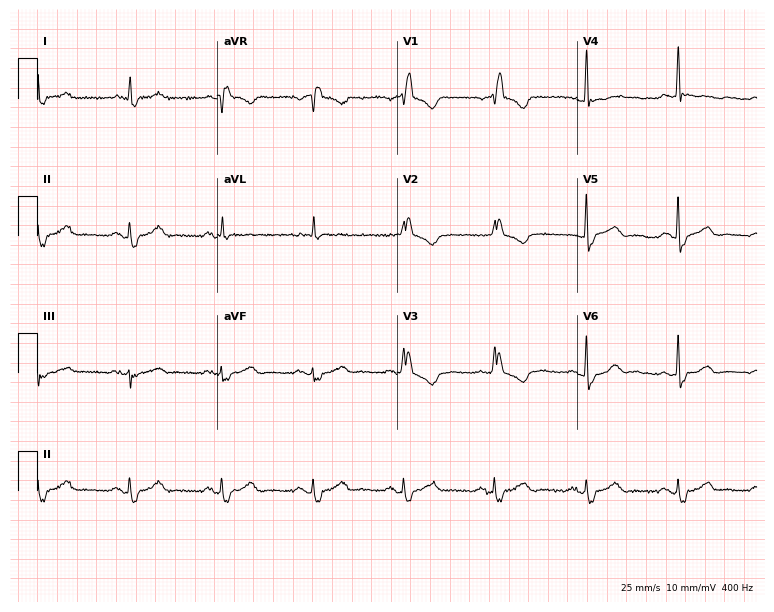
12-lead ECG (7.3-second recording at 400 Hz) from a 79-year-old female. Screened for six findings — first-degree AV block, right bundle branch block, left bundle branch block, sinus bradycardia, atrial fibrillation, sinus tachycardia — none is recorded.